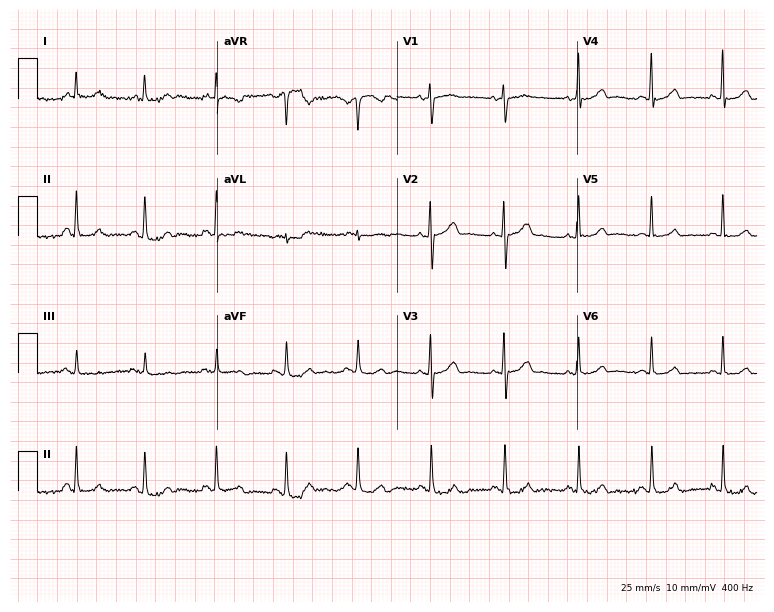
12-lead ECG (7.3-second recording at 400 Hz) from a 47-year-old female. Labelled as a normal ECG.